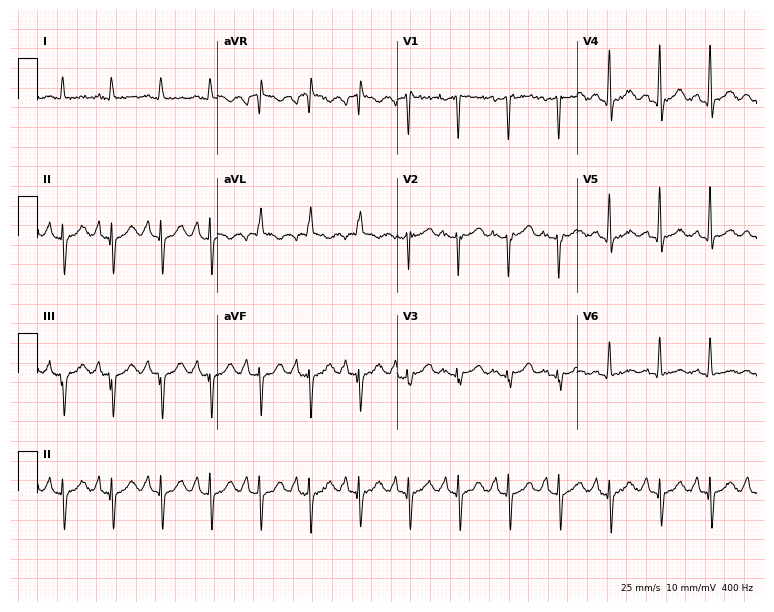
Standard 12-lead ECG recorded from a female, 50 years old. The tracing shows sinus tachycardia (a sinus rate of 100 beats per minute or more).